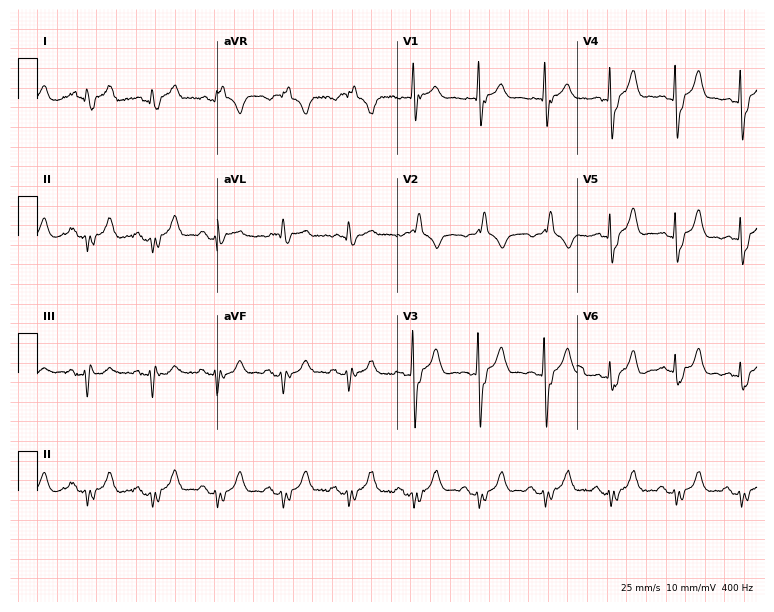
ECG (7.3-second recording at 400 Hz) — a man, 83 years old. Findings include right bundle branch block.